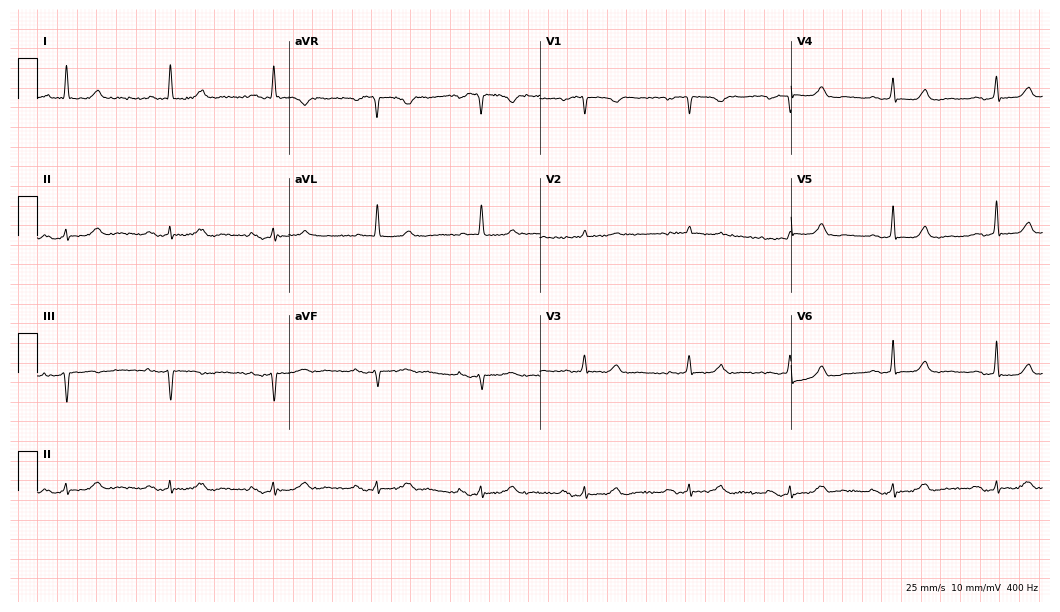
12-lead ECG from a female, 85 years old. Labelled as a normal ECG.